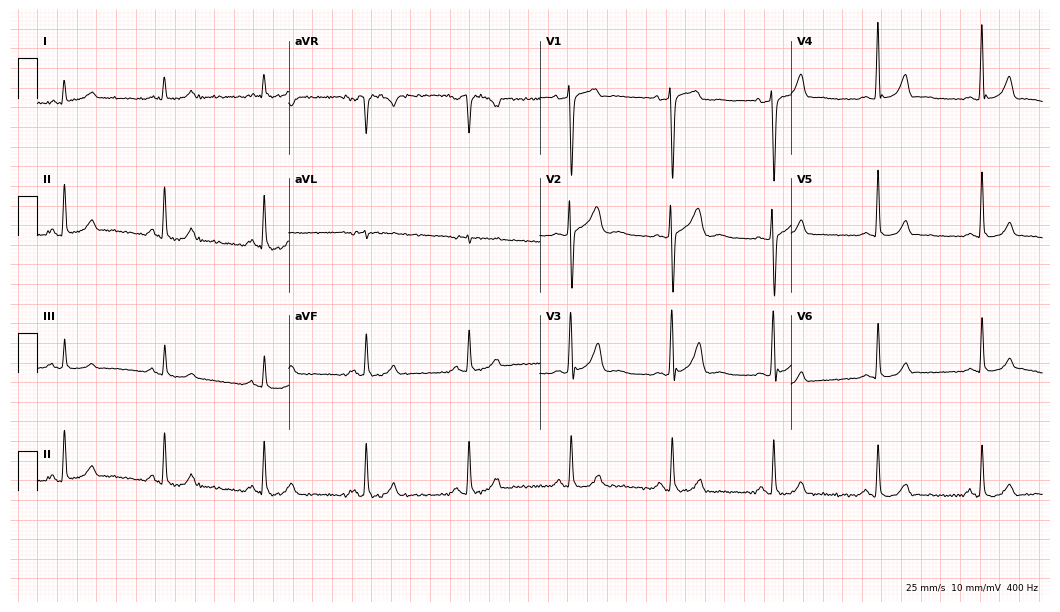
ECG — a 54-year-old man. Screened for six findings — first-degree AV block, right bundle branch block, left bundle branch block, sinus bradycardia, atrial fibrillation, sinus tachycardia — none is recorded.